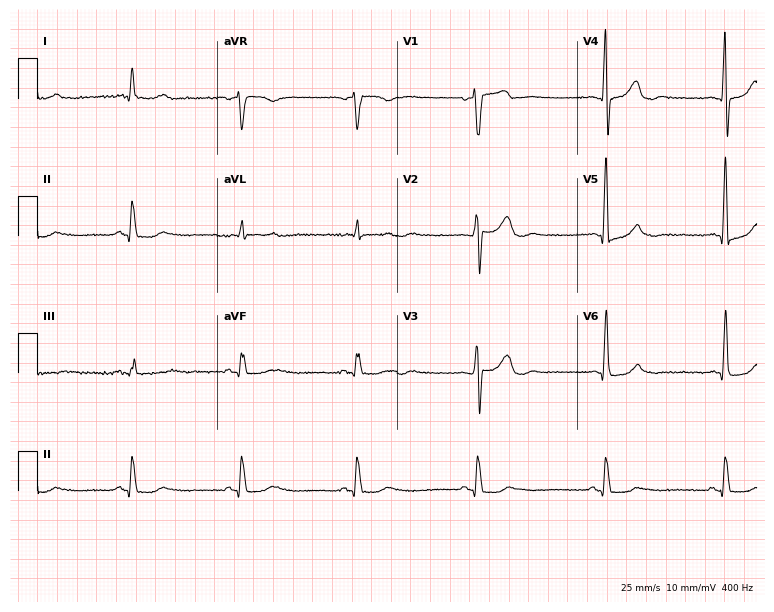
Electrocardiogram, a male patient, 59 years old. Of the six screened findings (first-degree AV block, right bundle branch block (RBBB), left bundle branch block (LBBB), sinus bradycardia, atrial fibrillation (AF), sinus tachycardia), none is recorded.